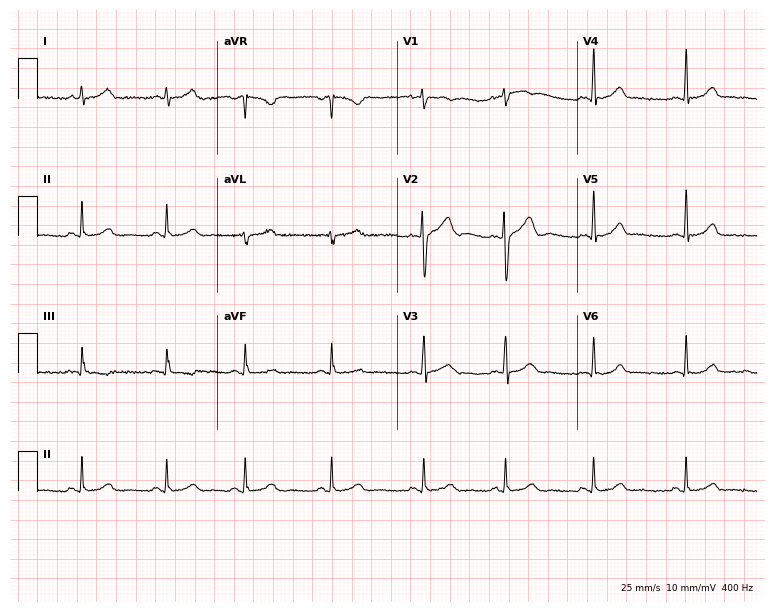
Standard 12-lead ECG recorded from a 23-year-old woman (7.3-second recording at 400 Hz). Read as a normal ECG.